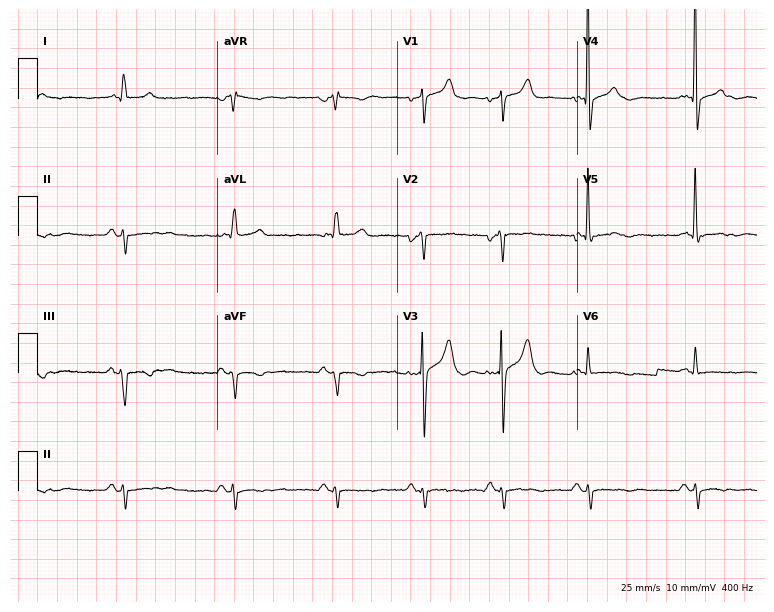
12-lead ECG from a 57-year-old male. No first-degree AV block, right bundle branch block, left bundle branch block, sinus bradycardia, atrial fibrillation or sinus tachycardia recorded for this tracing. Only these six findings were labelled.